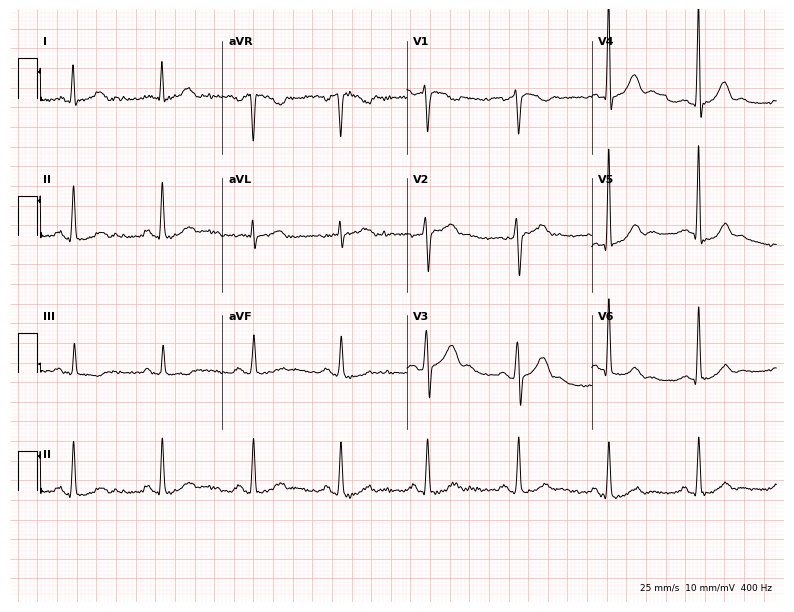
Resting 12-lead electrocardiogram. Patient: a male, 52 years old. Read as a normal ECG.